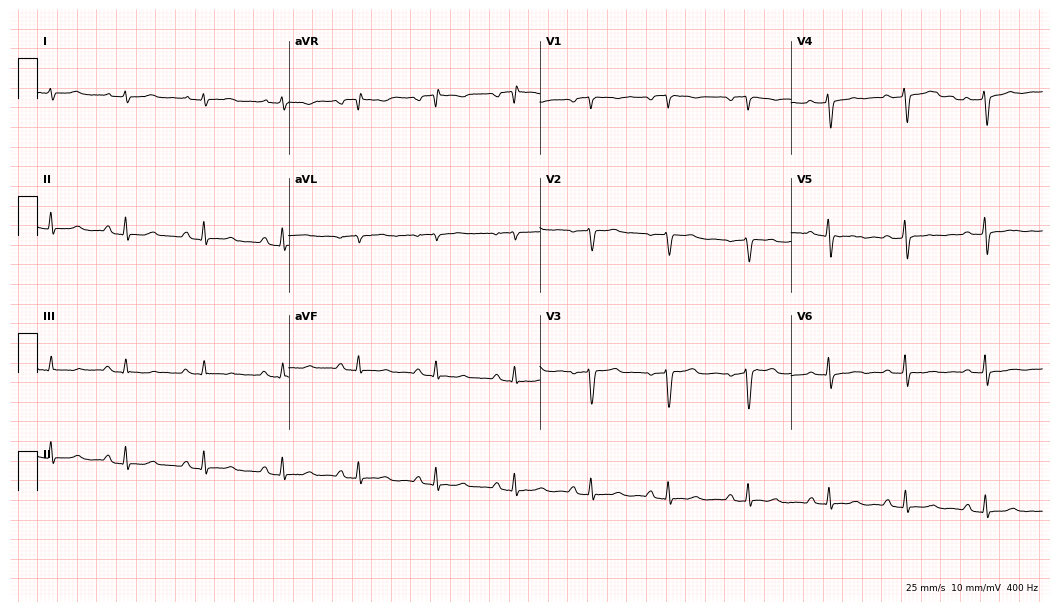
Resting 12-lead electrocardiogram (10.2-second recording at 400 Hz). Patient: a 49-year-old woman. Read as a normal ECG.